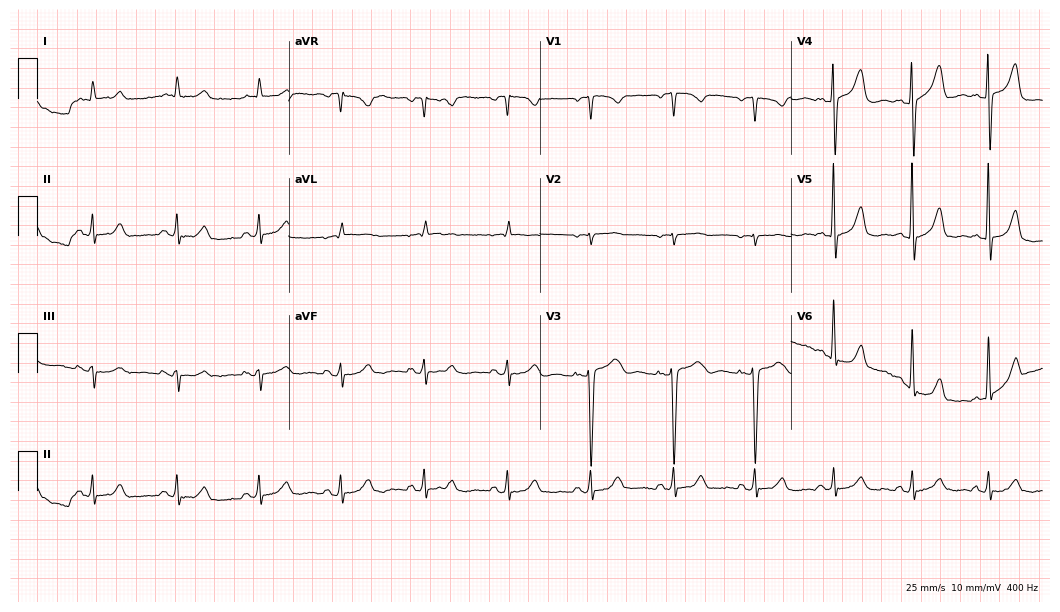
ECG — a 72-year-old male. Labelled as a normal ECG.